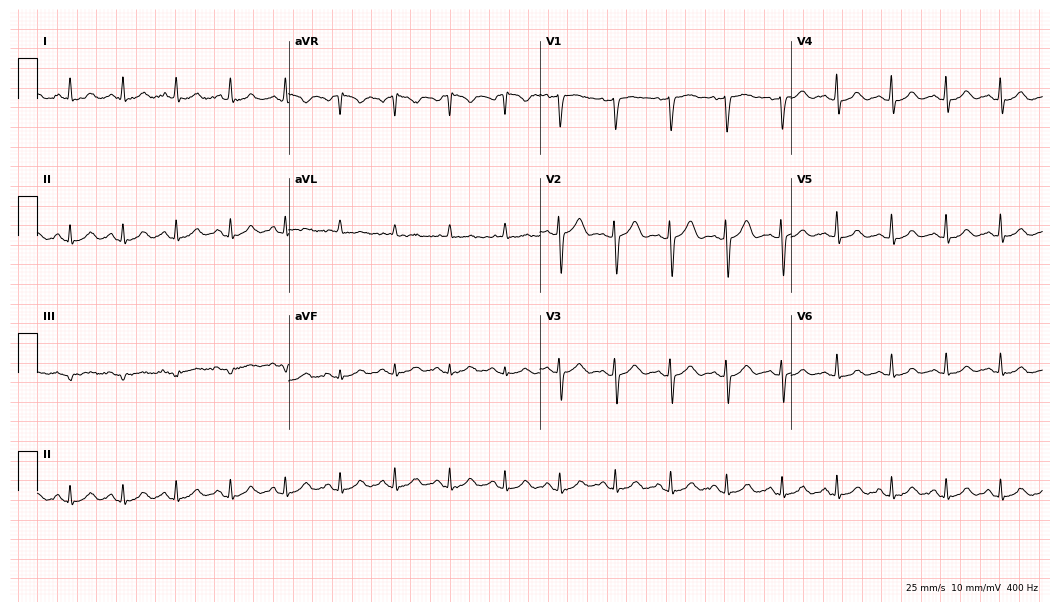
12-lead ECG (10.2-second recording at 400 Hz) from a female patient, 71 years old. Findings include sinus tachycardia (a sinus rate of 100 beats per minute or more).